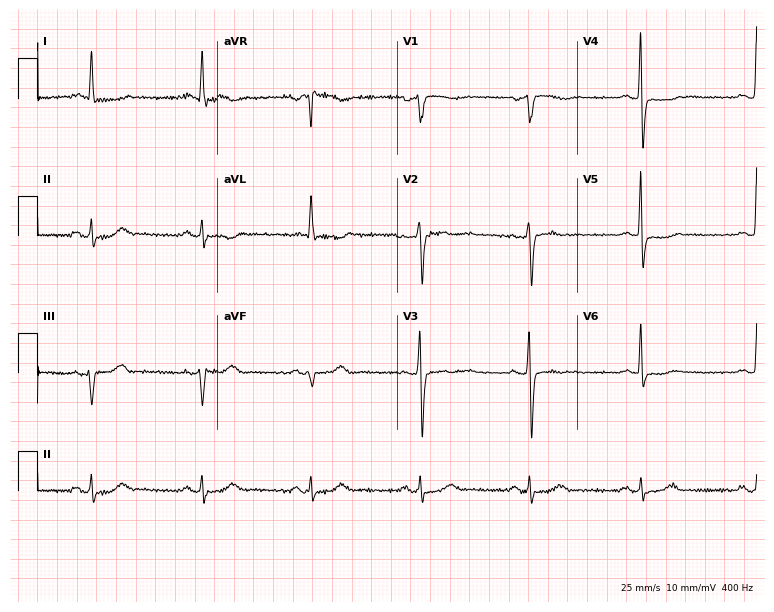
12-lead ECG (7.3-second recording at 400 Hz) from a 66-year-old female. Screened for six findings — first-degree AV block, right bundle branch block, left bundle branch block, sinus bradycardia, atrial fibrillation, sinus tachycardia — none is recorded.